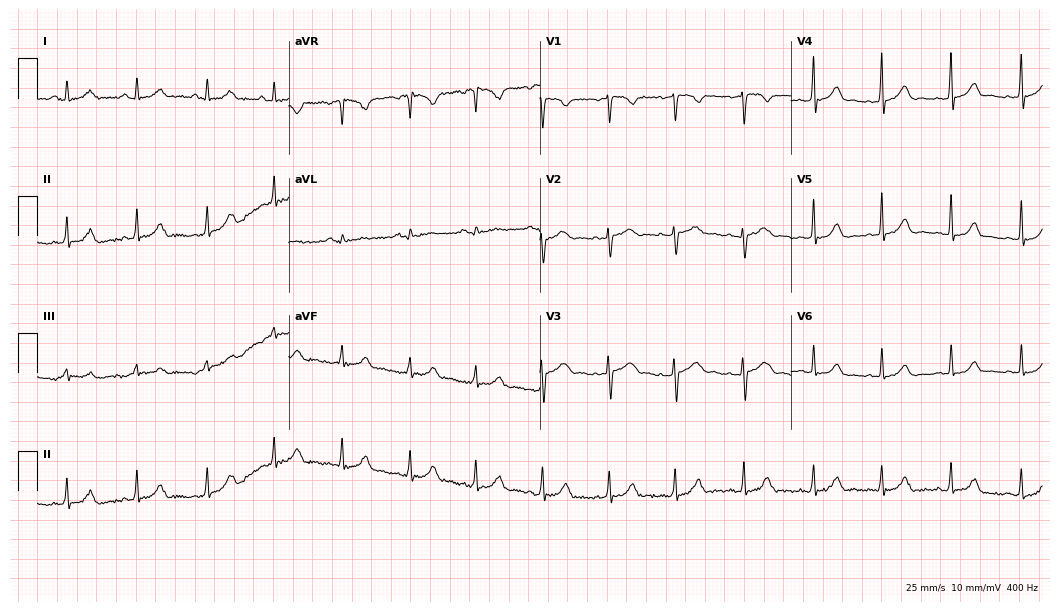
Electrocardiogram, a 33-year-old female. Overall reading on record: normal ECG.